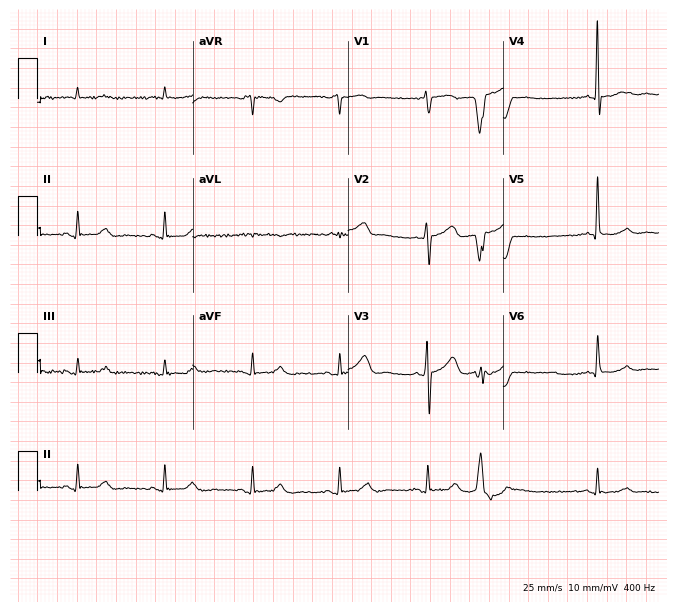
Standard 12-lead ECG recorded from a man, 83 years old (6.3-second recording at 400 Hz). None of these six findings is recorded: first-degree AV block, right bundle branch block (RBBB), left bundle branch block (LBBB), sinus bradycardia, atrial fibrillation (AF), sinus tachycardia.